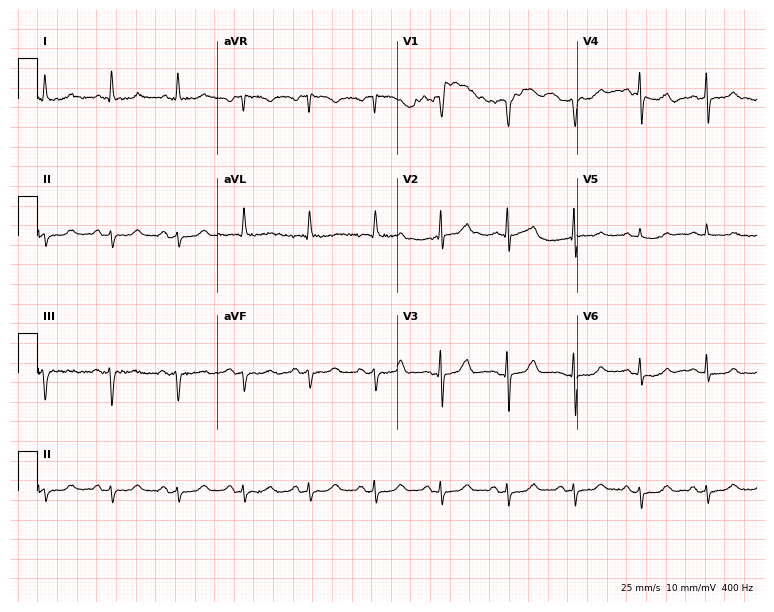
ECG — an 80-year-old woman. Labelled as a normal ECG.